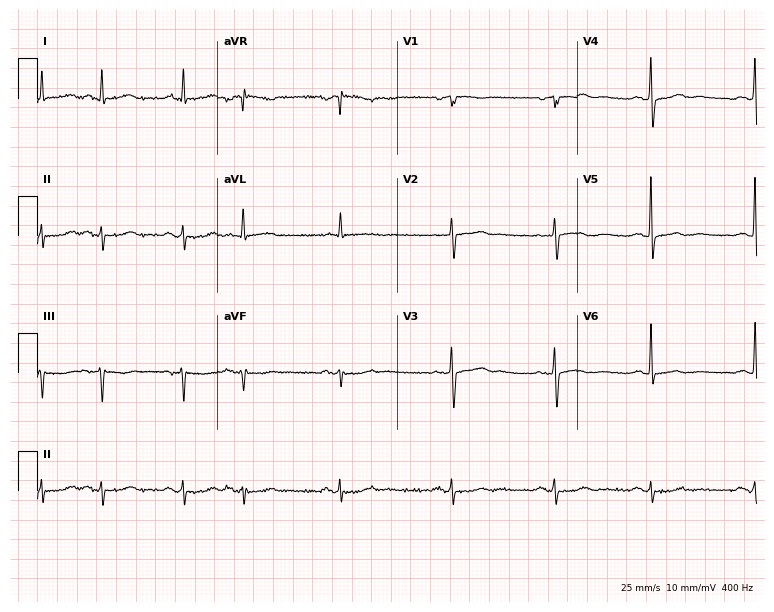
12-lead ECG (7.3-second recording at 400 Hz) from a 75-year-old female. Screened for six findings — first-degree AV block, right bundle branch block, left bundle branch block, sinus bradycardia, atrial fibrillation, sinus tachycardia — none is recorded. Findings outside these six are not listed.